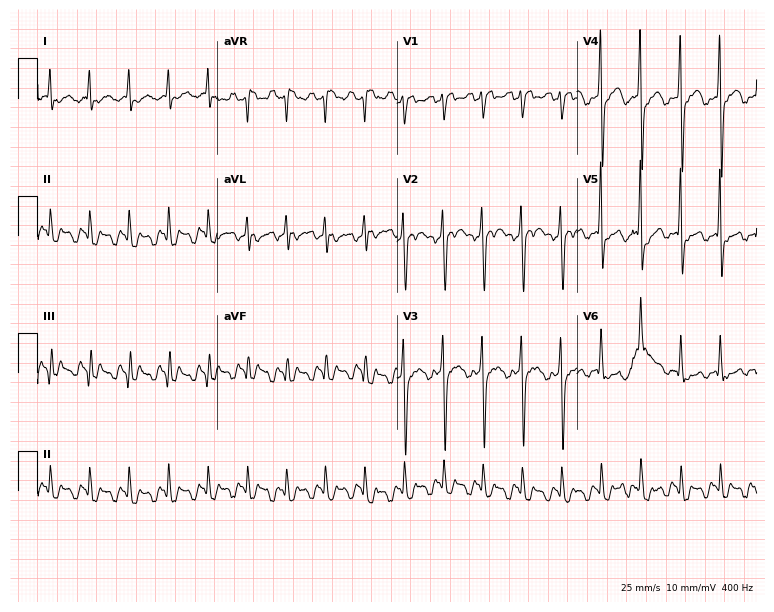
Electrocardiogram (7.3-second recording at 400 Hz), a man, 59 years old. Of the six screened findings (first-degree AV block, right bundle branch block (RBBB), left bundle branch block (LBBB), sinus bradycardia, atrial fibrillation (AF), sinus tachycardia), none is recorded.